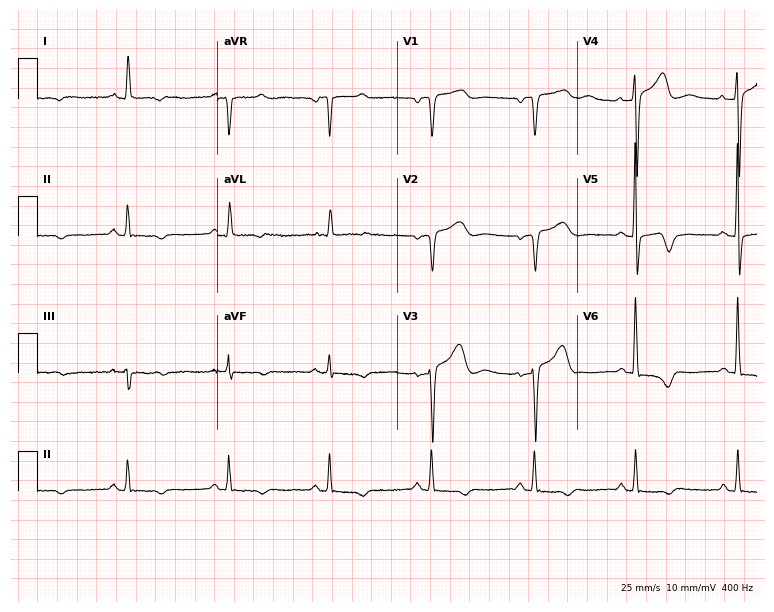
12-lead ECG from a 69-year-old female patient. Screened for six findings — first-degree AV block, right bundle branch block, left bundle branch block, sinus bradycardia, atrial fibrillation, sinus tachycardia — none is recorded. Only these six findings were labelled.